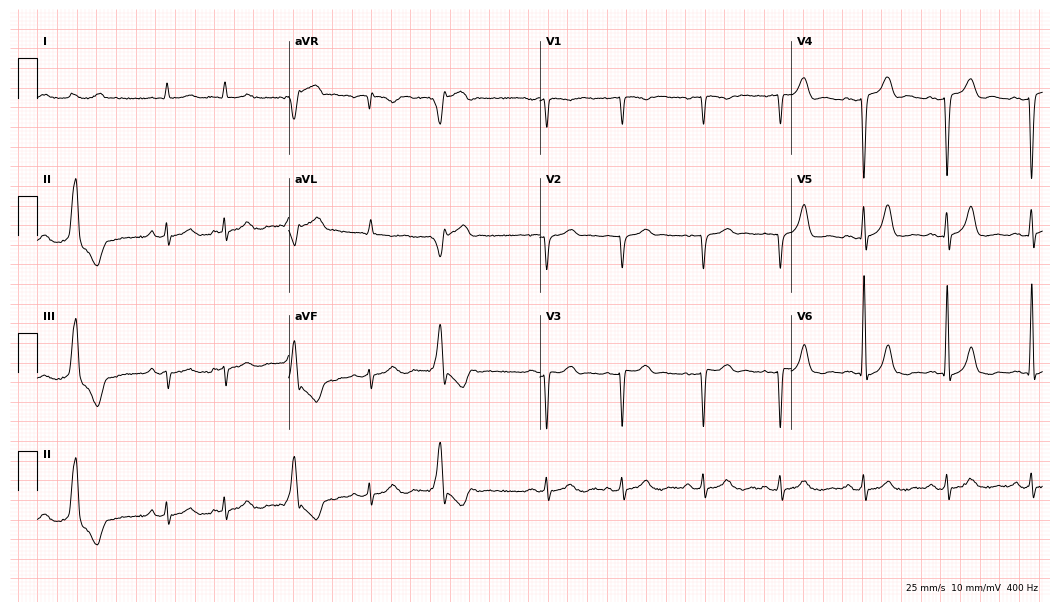
Resting 12-lead electrocardiogram (10.2-second recording at 400 Hz). Patient: an 80-year-old man. None of these six findings is recorded: first-degree AV block, right bundle branch block, left bundle branch block, sinus bradycardia, atrial fibrillation, sinus tachycardia.